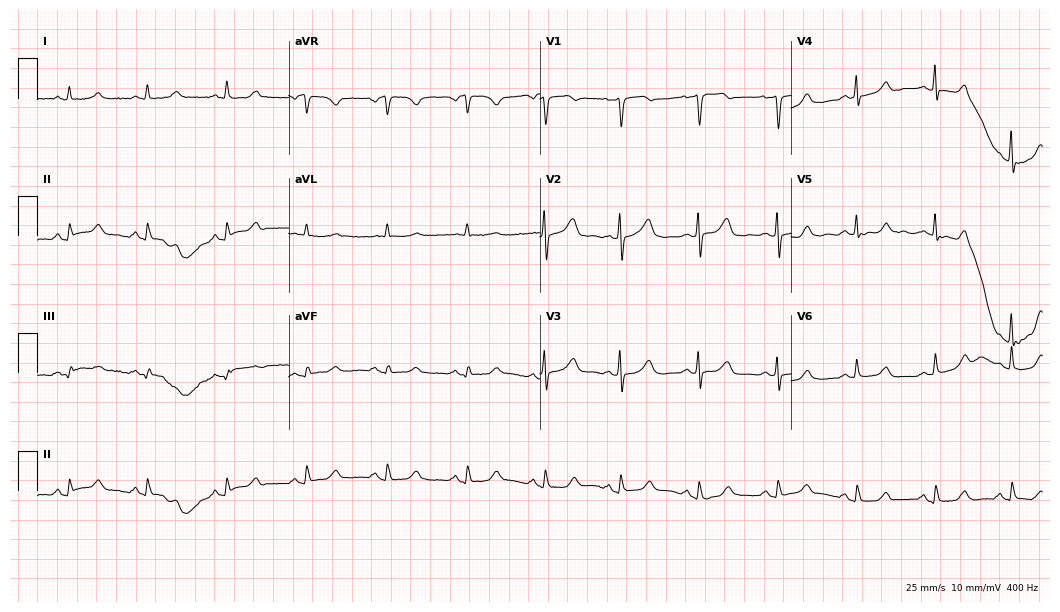
Standard 12-lead ECG recorded from a 66-year-old female patient. Read as a normal ECG.